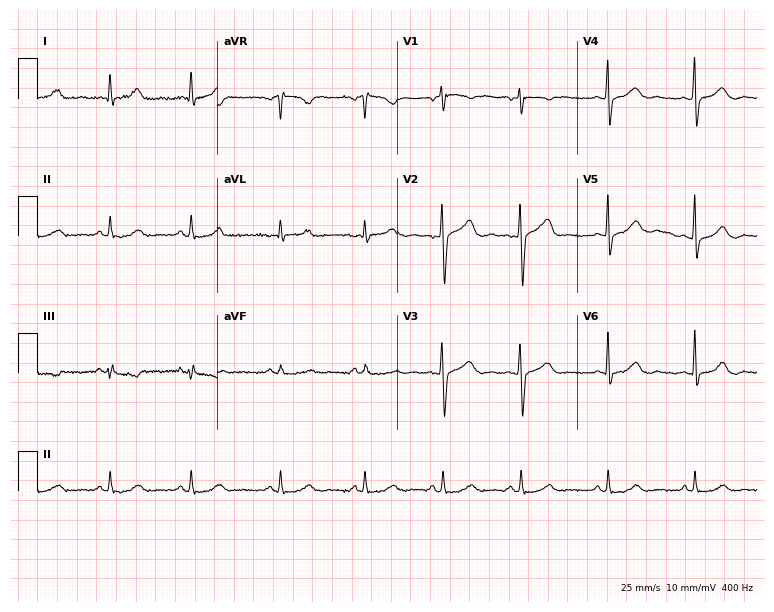
Standard 12-lead ECG recorded from a woman, 49 years old. None of these six findings is recorded: first-degree AV block, right bundle branch block (RBBB), left bundle branch block (LBBB), sinus bradycardia, atrial fibrillation (AF), sinus tachycardia.